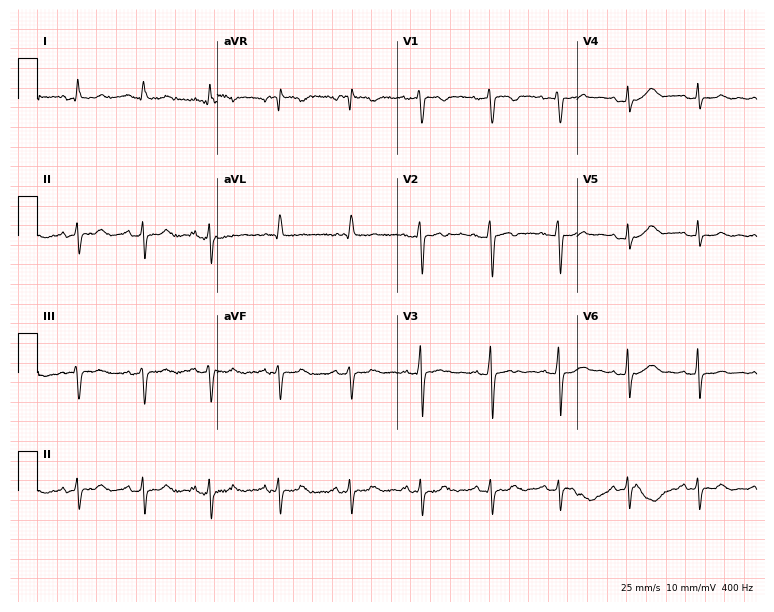
12-lead ECG from a 32-year-old female patient. Screened for six findings — first-degree AV block, right bundle branch block, left bundle branch block, sinus bradycardia, atrial fibrillation, sinus tachycardia — none is recorded. Only these six findings were labelled.